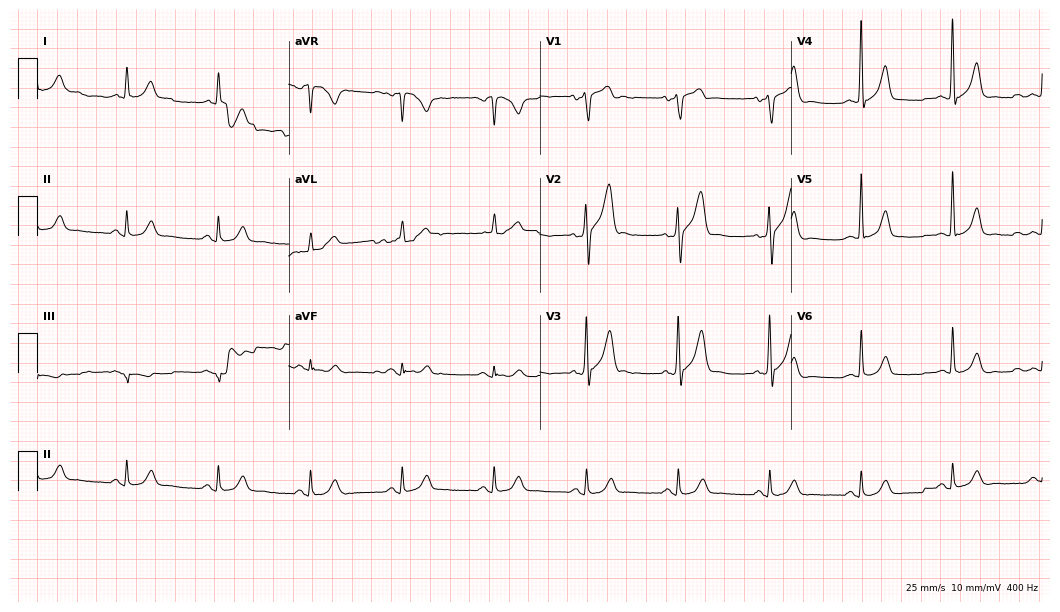
ECG — a 71-year-old male. Labelled as a normal ECG.